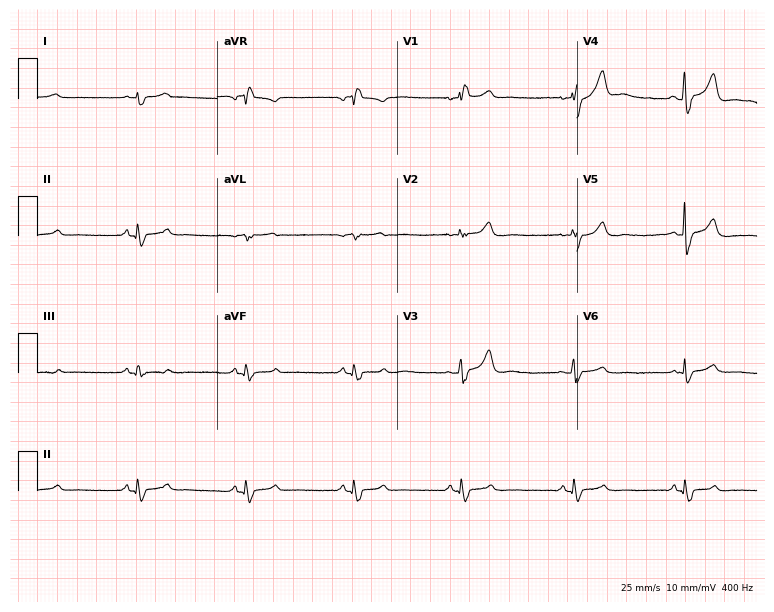
Resting 12-lead electrocardiogram. Patient: a 71-year-old male. None of these six findings is recorded: first-degree AV block, right bundle branch block, left bundle branch block, sinus bradycardia, atrial fibrillation, sinus tachycardia. Only these six findings were labelled.